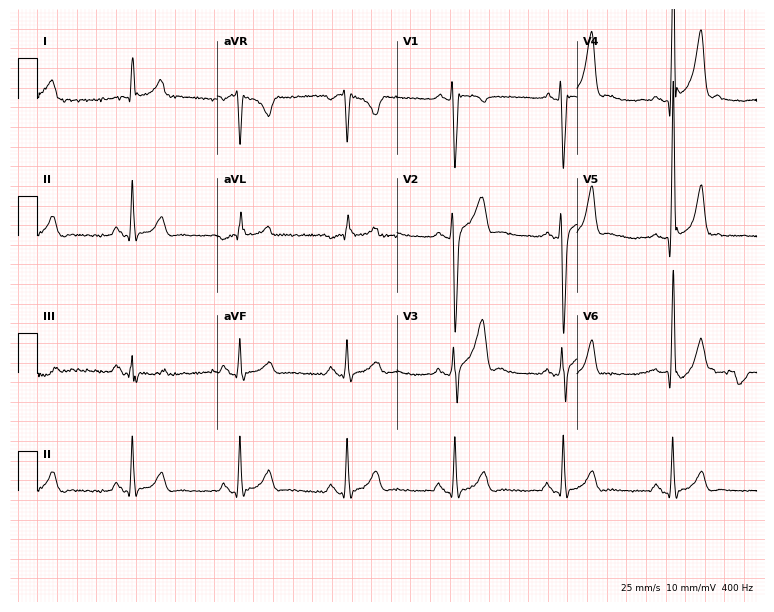
12-lead ECG from a 21-year-old man. No first-degree AV block, right bundle branch block (RBBB), left bundle branch block (LBBB), sinus bradycardia, atrial fibrillation (AF) or sinus tachycardia recorded for this tracing. Other findings, if any, are not listed.